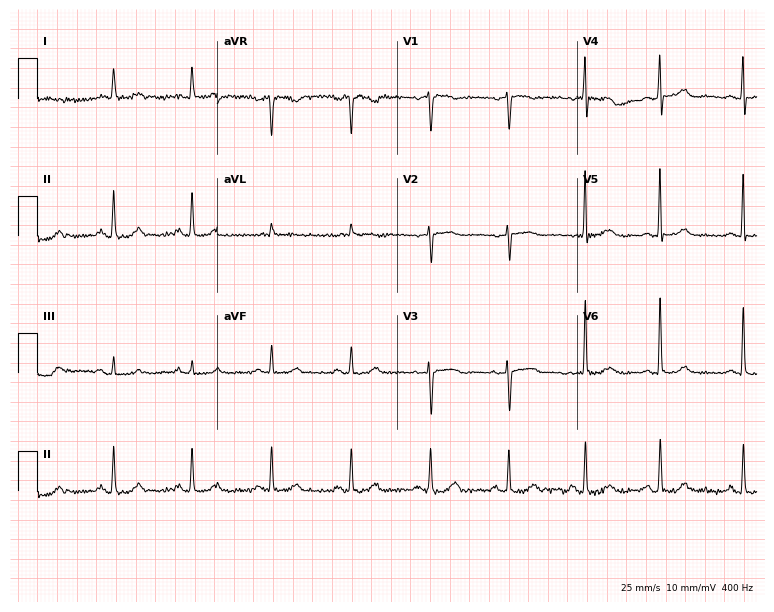
12-lead ECG from a 76-year-old female patient. Labelled as a normal ECG.